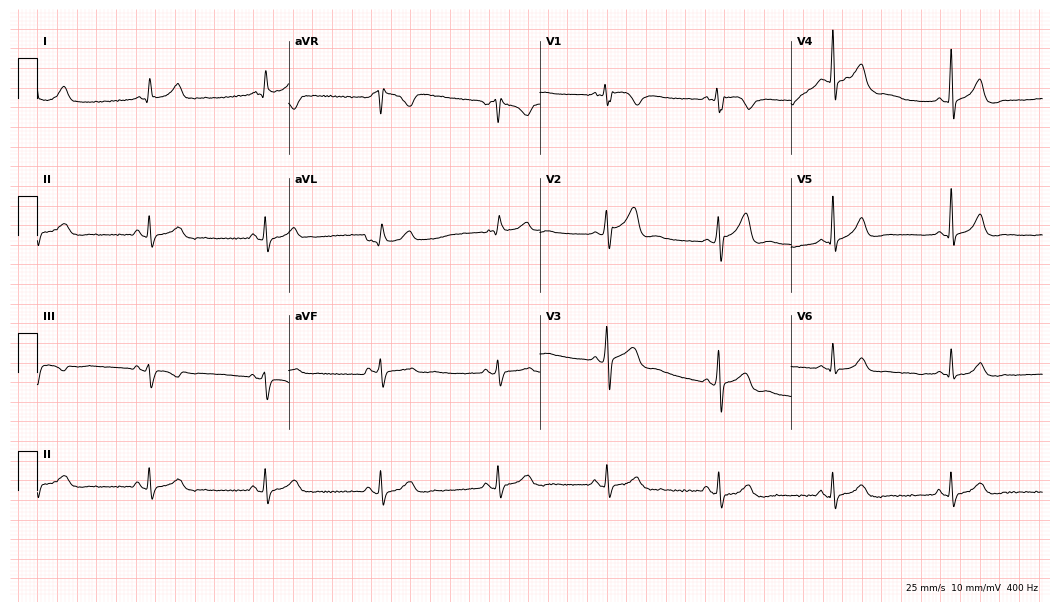
Electrocardiogram, a 57-year-old man. Overall reading on record: normal ECG.